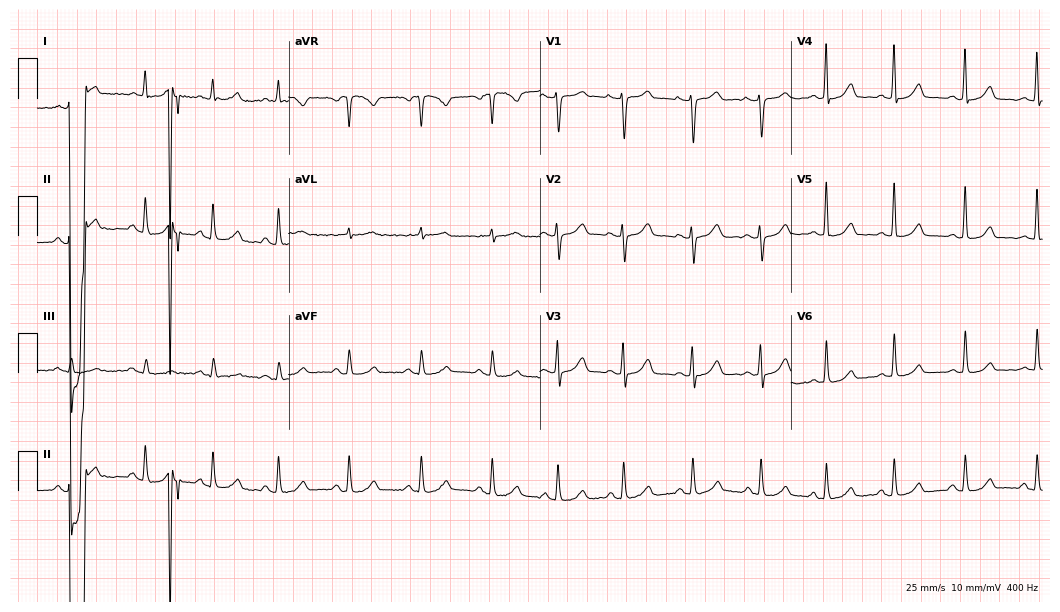
Resting 12-lead electrocardiogram (10.2-second recording at 400 Hz). Patient: a female, 35 years old. Read as a normal ECG.